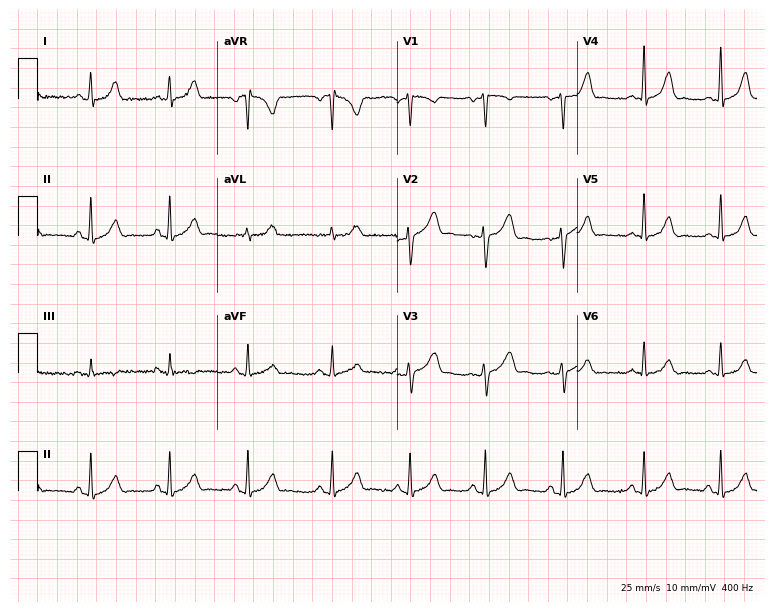
12-lead ECG from a 39-year-old female. Recorded interpretation: within normal limits.